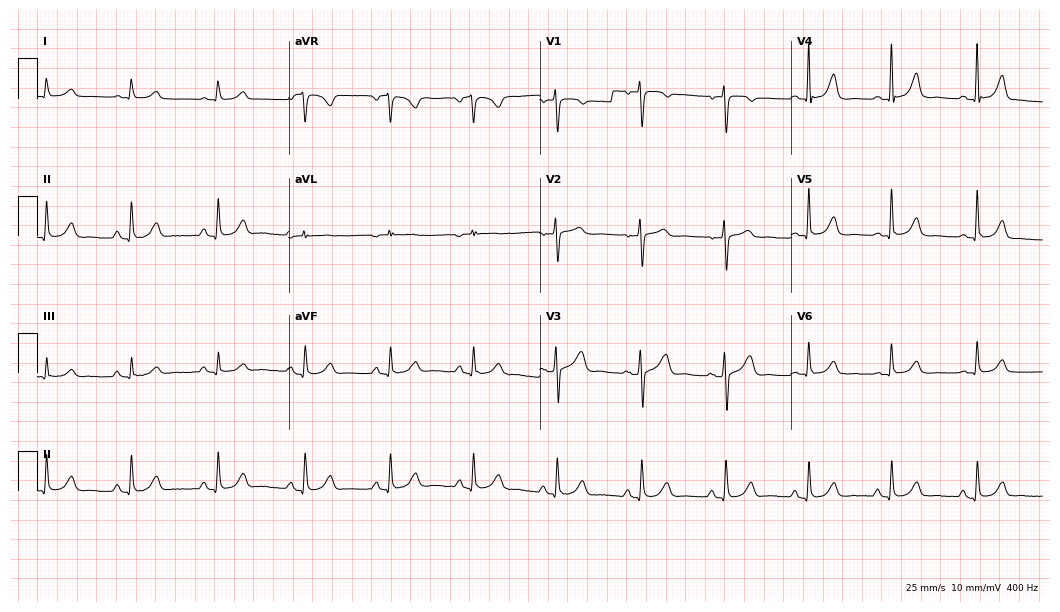
Resting 12-lead electrocardiogram. Patient: a 41-year-old woman. Read as a normal ECG.